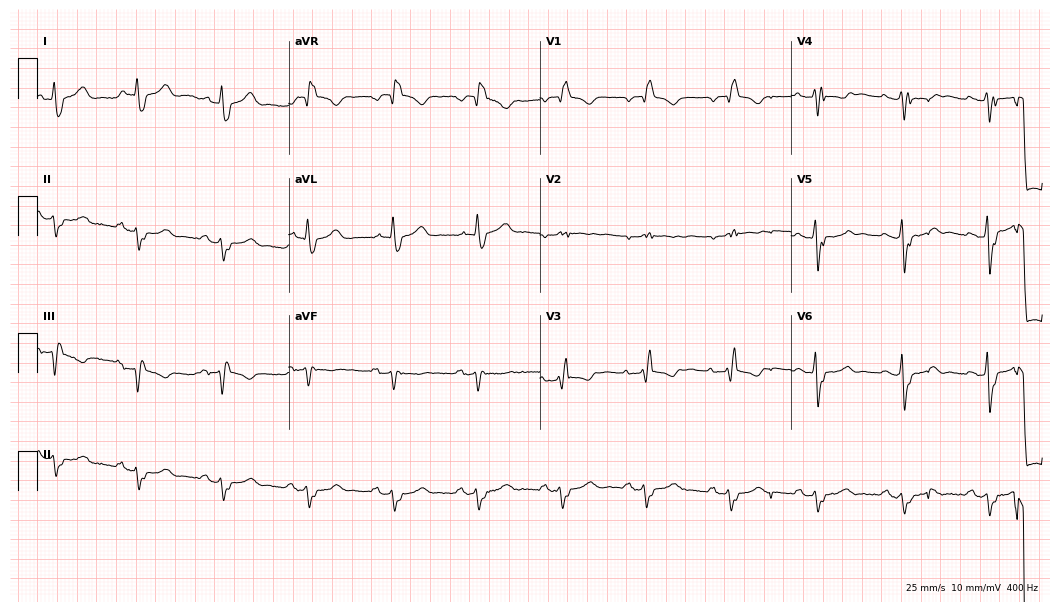
Electrocardiogram, a female patient, 39 years old. Interpretation includes right bundle branch block.